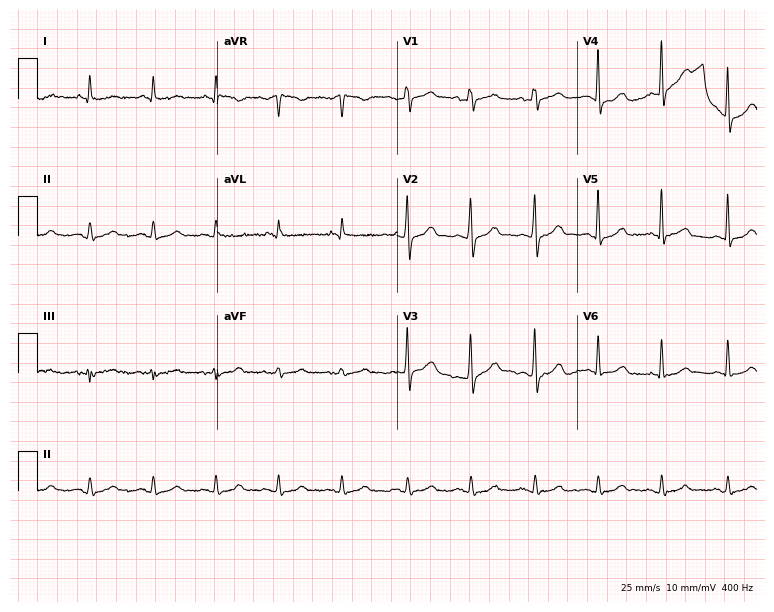
12-lead ECG from a 79-year-old male patient. Recorded interpretation: within normal limits.